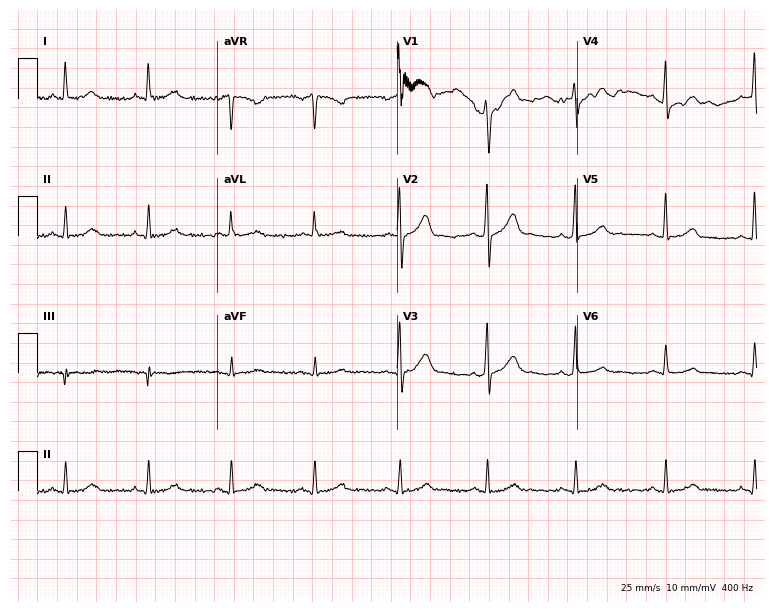
Electrocardiogram, a male, 60 years old. Overall reading on record: normal ECG.